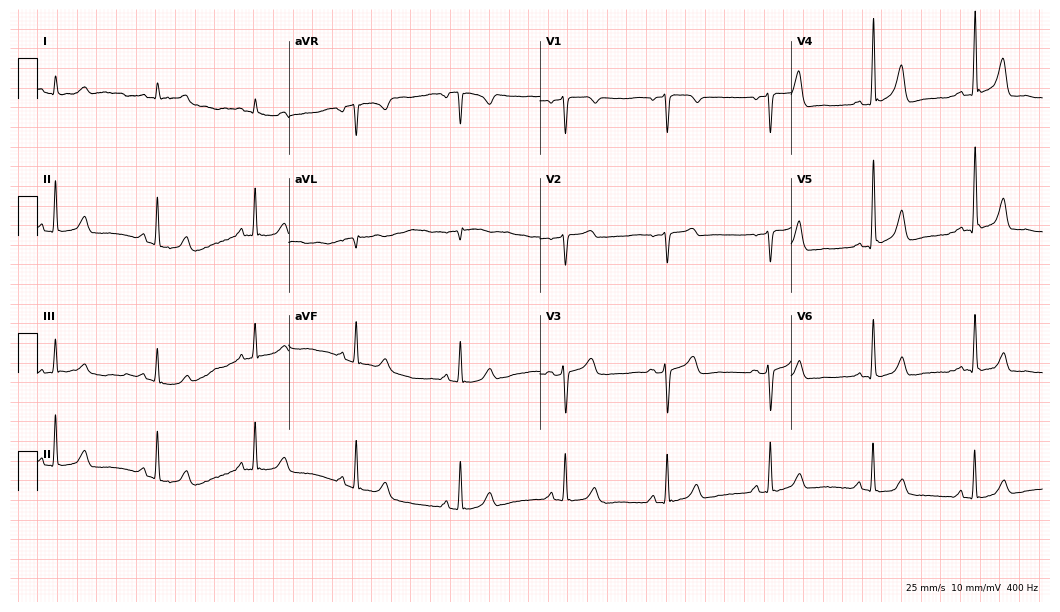
Resting 12-lead electrocardiogram (10.2-second recording at 400 Hz). Patient: a 54-year-old male. Read as a normal ECG.